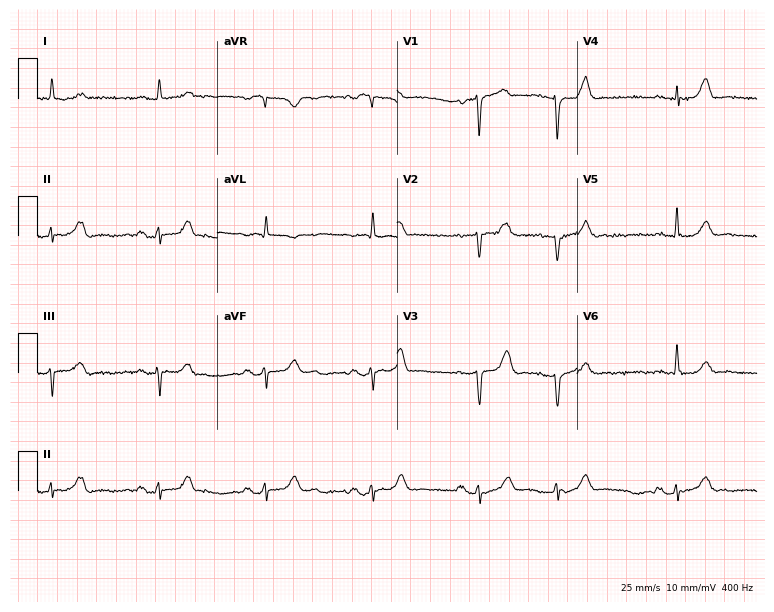
12-lead ECG (7.3-second recording at 400 Hz) from a male, 70 years old. Screened for six findings — first-degree AV block, right bundle branch block, left bundle branch block, sinus bradycardia, atrial fibrillation, sinus tachycardia — none is recorded. Other findings, if any, are not listed.